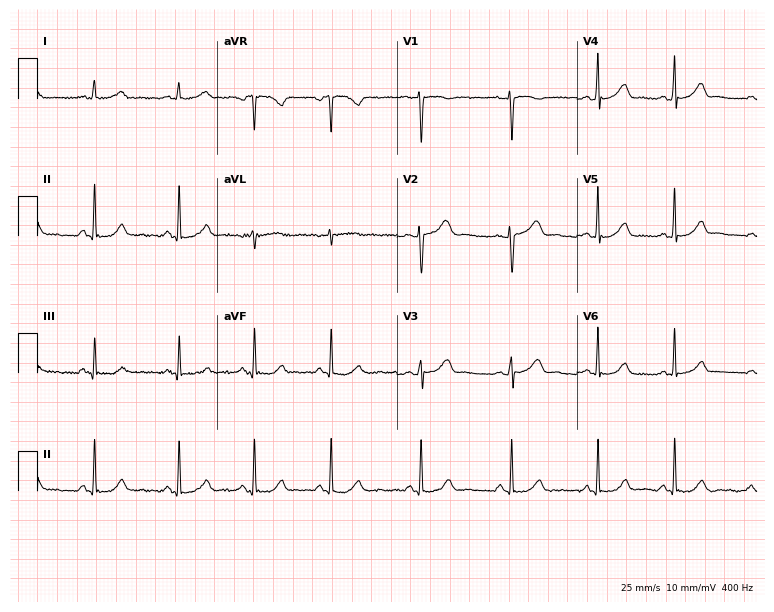
Electrocardiogram, a 19-year-old female patient. Of the six screened findings (first-degree AV block, right bundle branch block, left bundle branch block, sinus bradycardia, atrial fibrillation, sinus tachycardia), none is recorded.